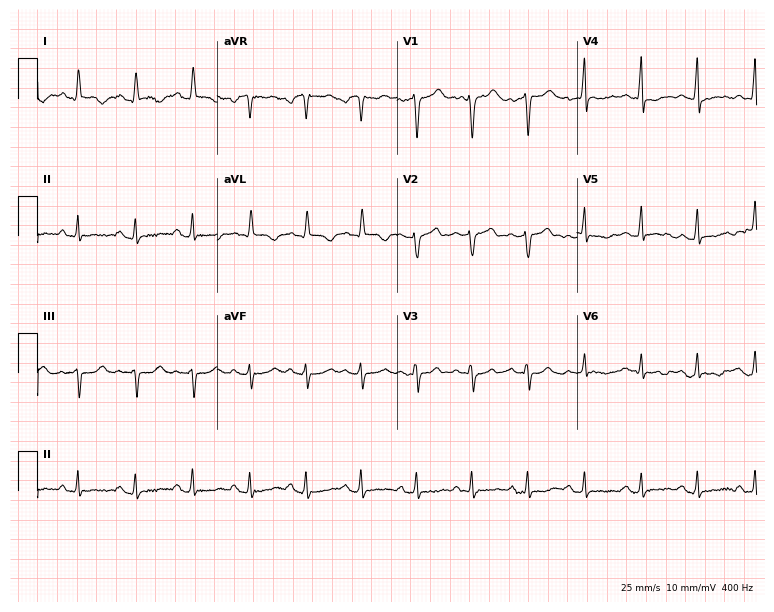
ECG (7.3-second recording at 400 Hz) — a female patient, 55 years old. Screened for six findings — first-degree AV block, right bundle branch block (RBBB), left bundle branch block (LBBB), sinus bradycardia, atrial fibrillation (AF), sinus tachycardia — none is recorded. Only these six findings were labelled.